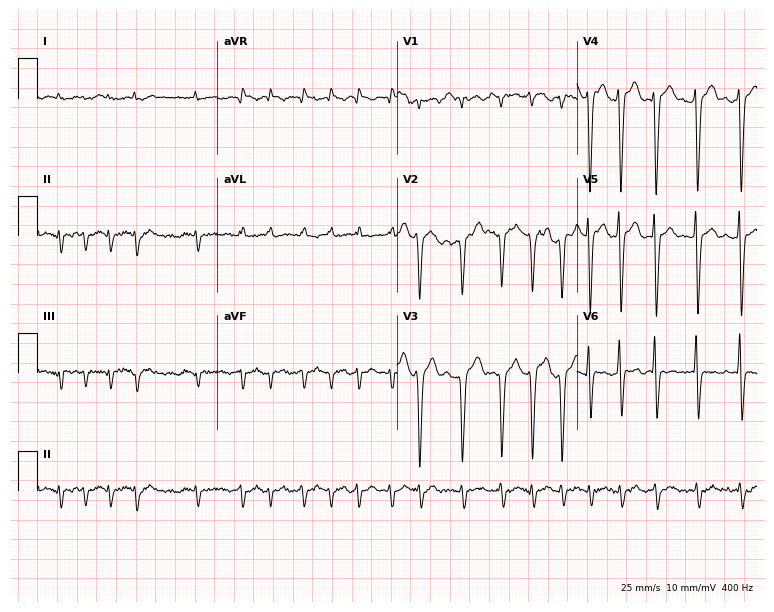
Electrocardiogram, an 89-year-old man. Interpretation includes atrial fibrillation.